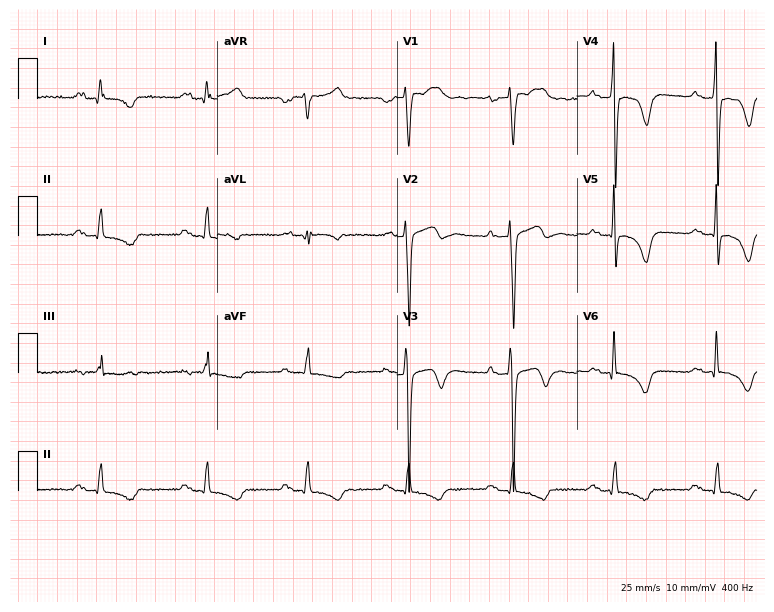
Electrocardiogram (7.3-second recording at 400 Hz), a 48-year-old male patient. Interpretation includes first-degree AV block.